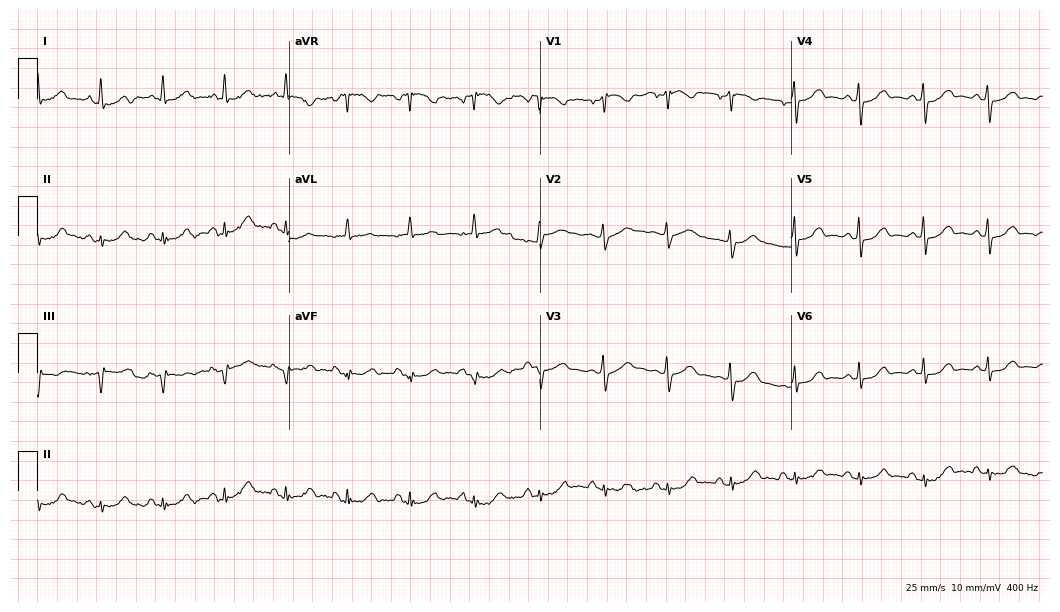
12-lead ECG (10.2-second recording at 400 Hz) from a 66-year-old woman. Labelled as a normal ECG.